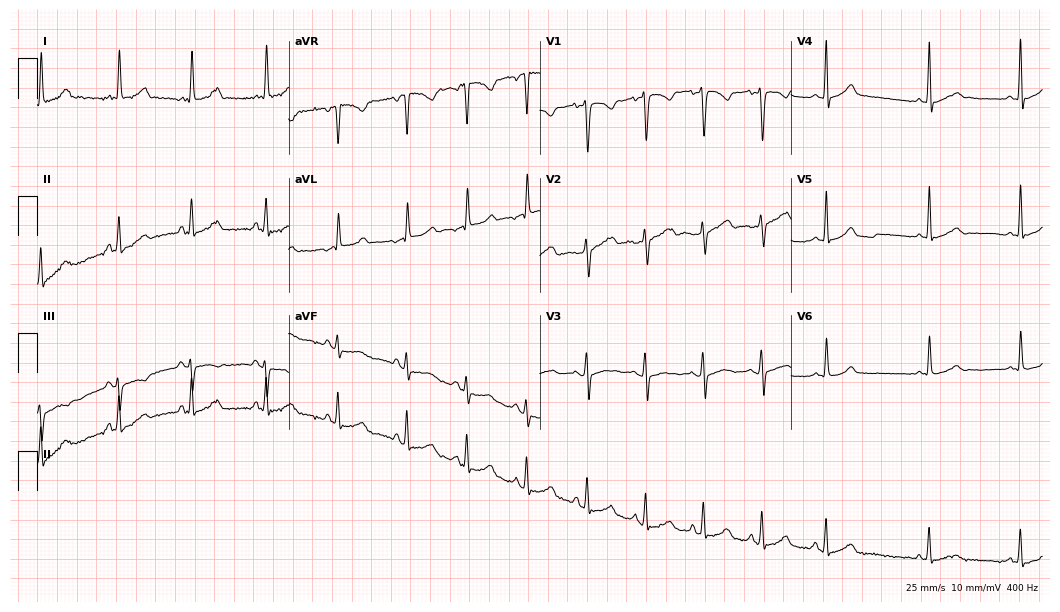
Electrocardiogram (10.2-second recording at 400 Hz), a 31-year-old female. Of the six screened findings (first-degree AV block, right bundle branch block, left bundle branch block, sinus bradycardia, atrial fibrillation, sinus tachycardia), none is recorded.